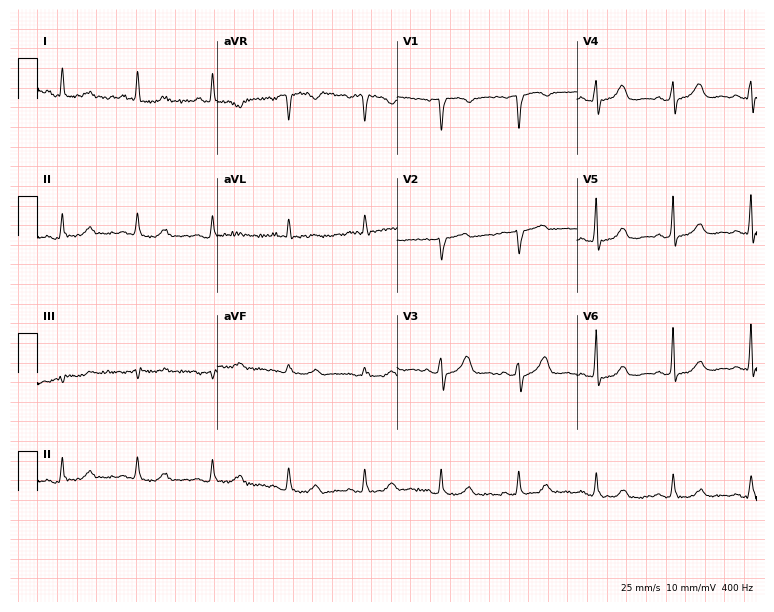
Electrocardiogram, a woman, 52 years old. Of the six screened findings (first-degree AV block, right bundle branch block, left bundle branch block, sinus bradycardia, atrial fibrillation, sinus tachycardia), none is recorded.